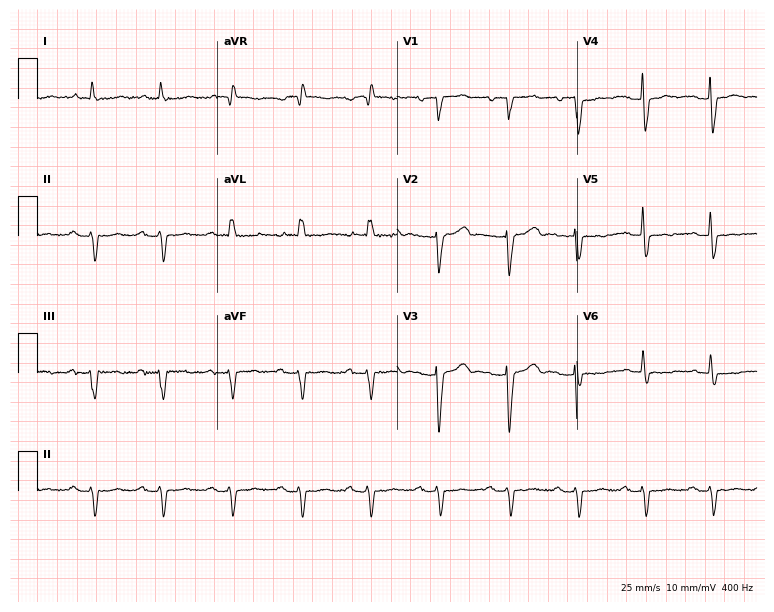
ECG (7.3-second recording at 400 Hz) — an 84-year-old female patient. Findings include first-degree AV block.